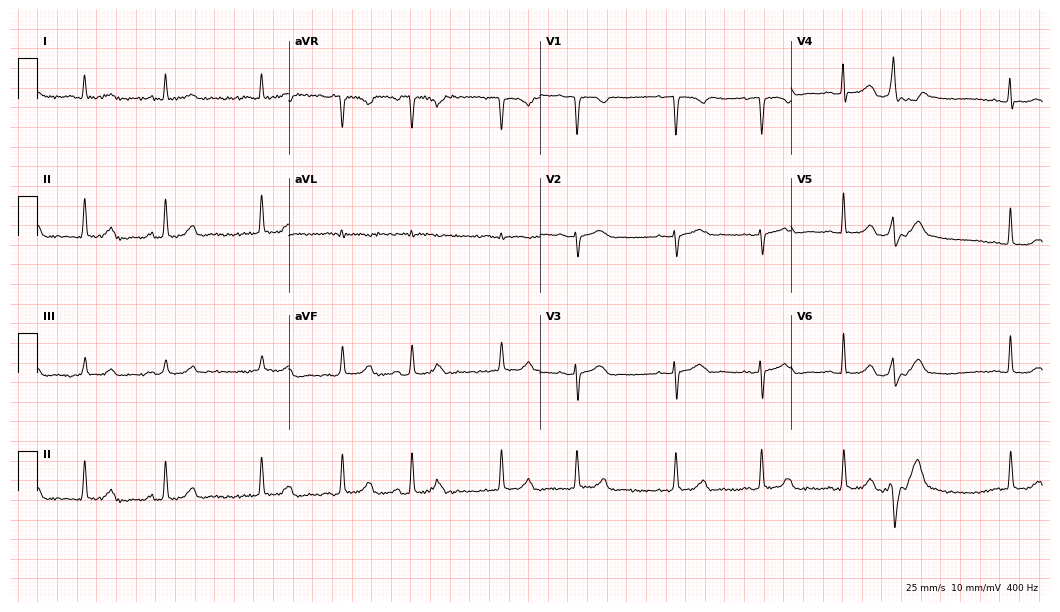
Standard 12-lead ECG recorded from a 71-year-old woman (10.2-second recording at 400 Hz). None of these six findings is recorded: first-degree AV block, right bundle branch block, left bundle branch block, sinus bradycardia, atrial fibrillation, sinus tachycardia.